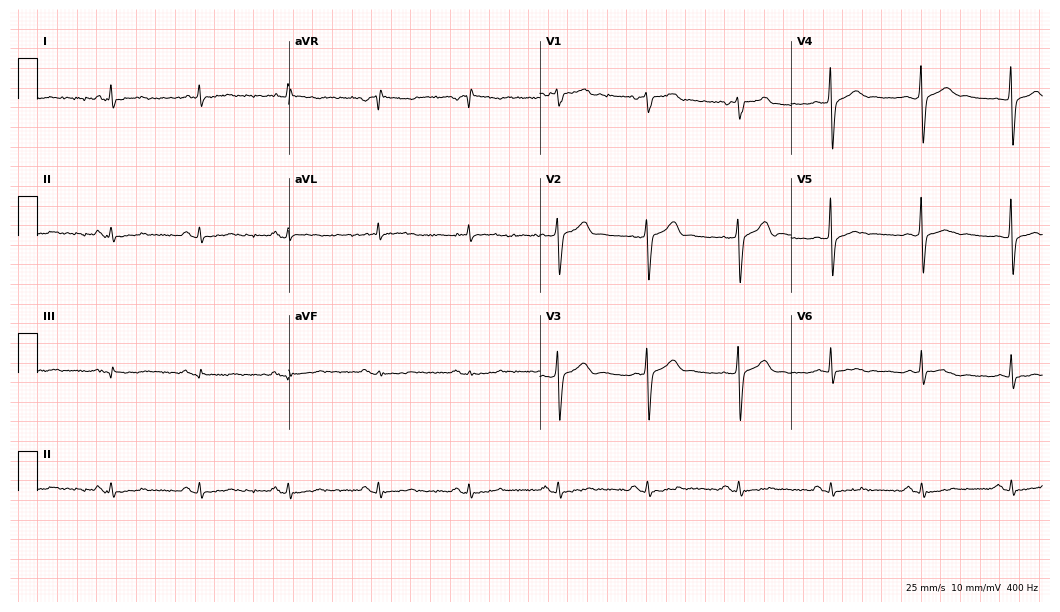
Standard 12-lead ECG recorded from a 49-year-old male patient. None of these six findings is recorded: first-degree AV block, right bundle branch block (RBBB), left bundle branch block (LBBB), sinus bradycardia, atrial fibrillation (AF), sinus tachycardia. Only these six findings were labelled.